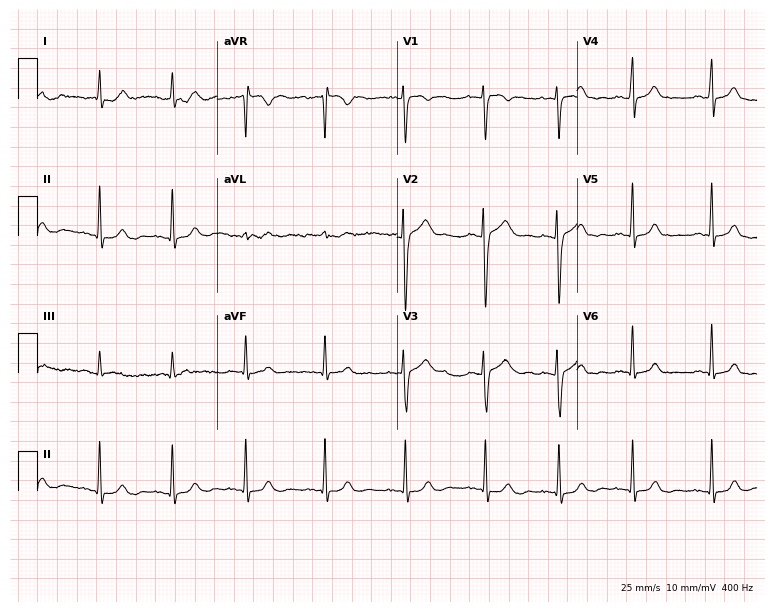
Standard 12-lead ECG recorded from a woman, 27 years old (7.3-second recording at 400 Hz). None of these six findings is recorded: first-degree AV block, right bundle branch block, left bundle branch block, sinus bradycardia, atrial fibrillation, sinus tachycardia. Other findings, if any, are not listed.